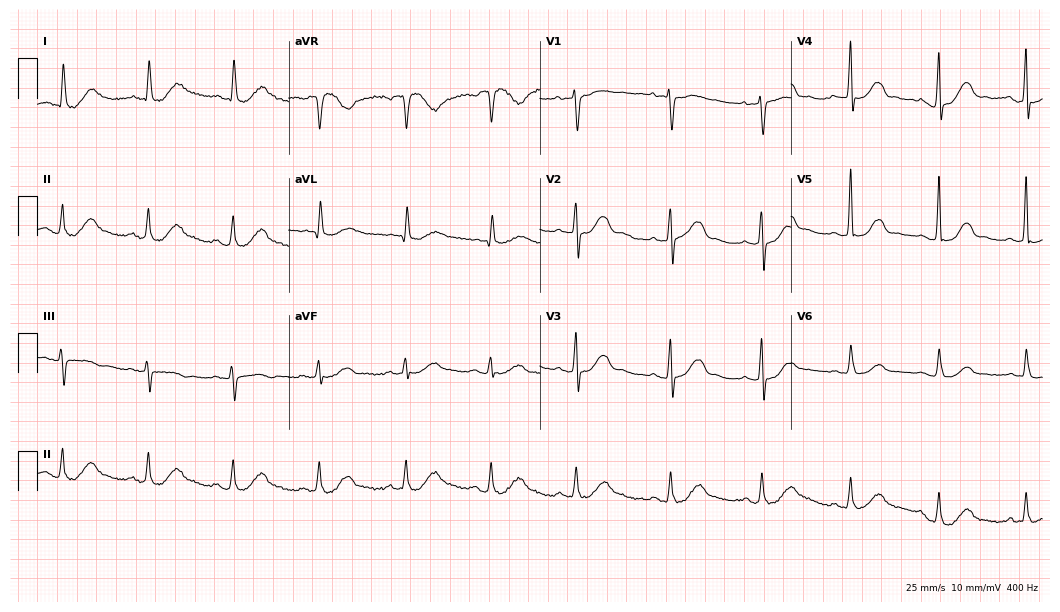
Electrocardiogram (10.2-second recording at 400 Hz), a 71-year-old woman. Overall reading on record: normal ECG.